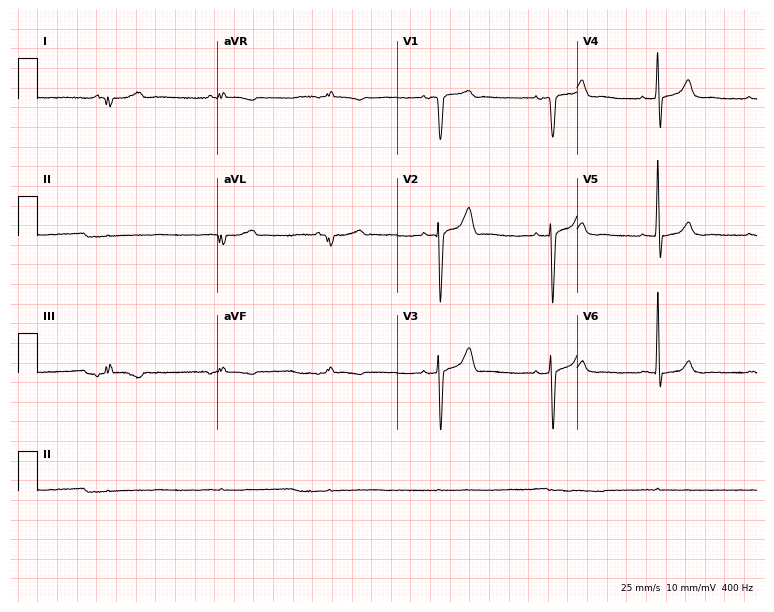
ECG — a man, 68 years old. Screened for six findings — first-degree AV block, right bundle branch block, left bundle branch block, sinus bradycardia, atrial fibrillation, sinus tachycardia — none is recorded.